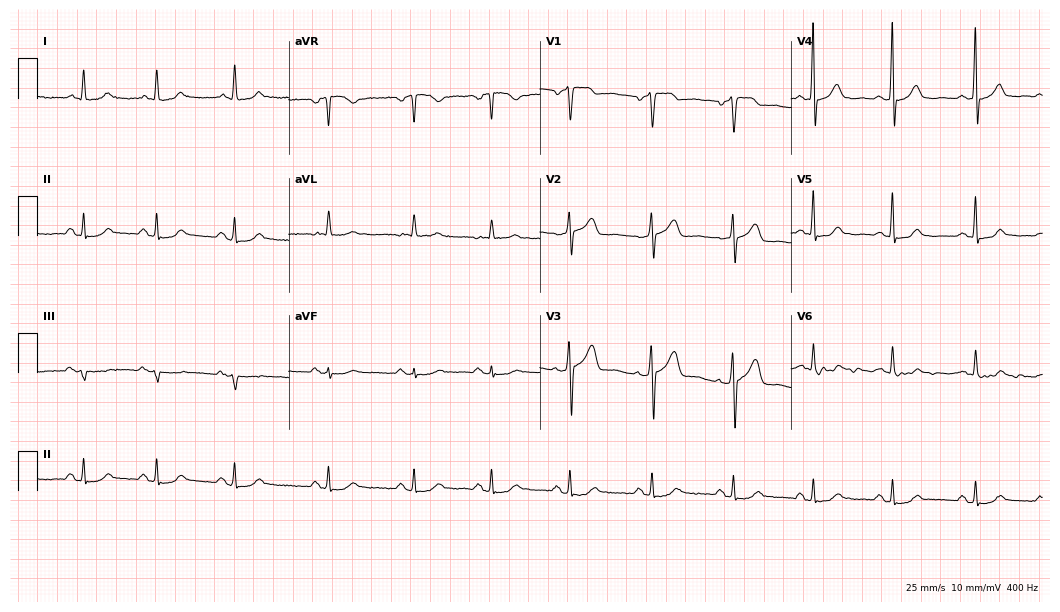
Resting 12-lead electrocardiogram (10.2-second recording at 400 Hz). Patient: a male, 68 years old. None of these six findings is recorded: first-degree AV block, right bundle branch block, left bundle branch block, sinus bradycardia, atrial fibrillation, sinus tachycardia.